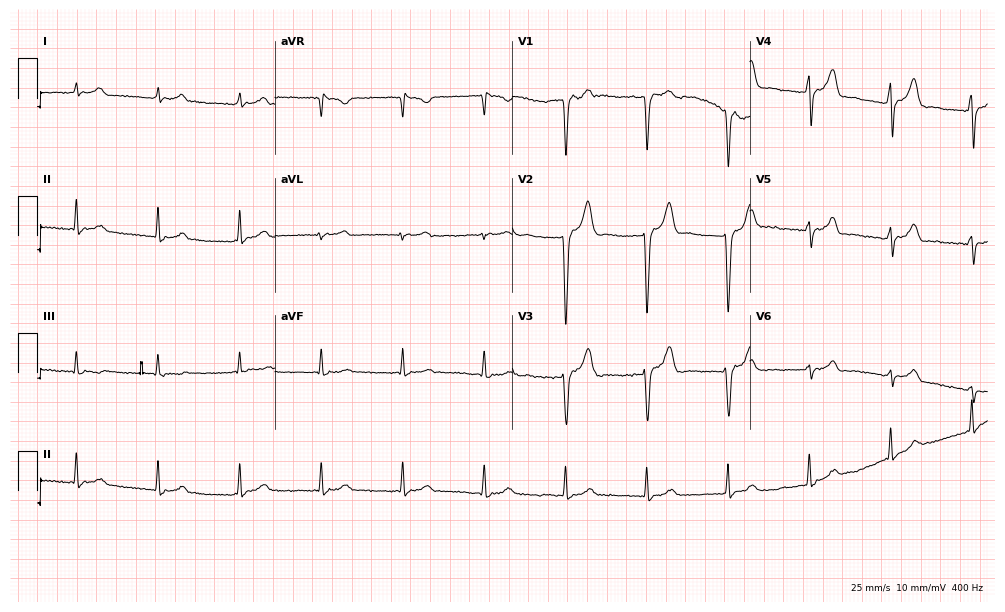
12-lead ECG from a male patient, 37 years old. No first-degree AV block, right bundle branch block, left bundle branch block, sinus bradycardia, atrial fibrillation or sinus tachycardia recorded for this tracing.